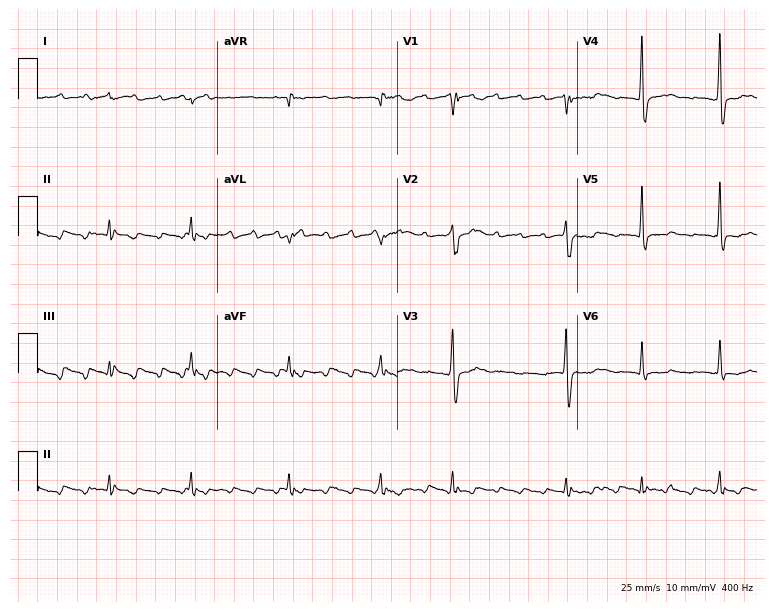
Resting 12-lead electrocardiogram (7.3-second recording at 400 Hz). Patient: a 64-year-old man. None of these six findings is recorded: first-degree AV block, right bundle branch block, left bundle branch block, sinus bradycardia, atrial fibrillation, sinus tachycardia. Other findings, if any, are not listed.